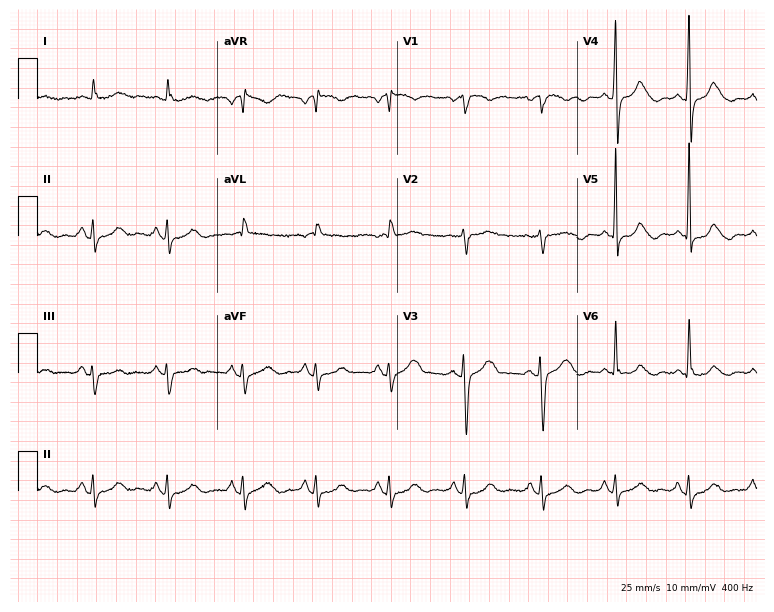
Resting 12-lead electrocardiogram (7.3-second recording at 400 Hz). Patient: a female, 82 years old. None of these six findings is recorded: first-degree AV block, right bundle branch block, left bundle branch block, sinus bradycardia, atrial fibrillation, sinus tachycardia.